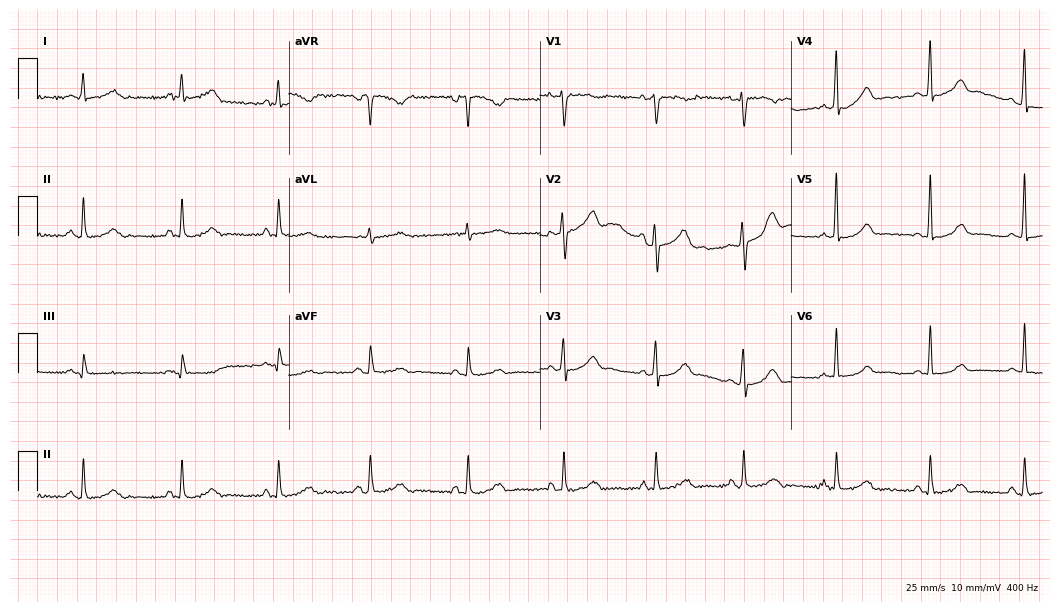
12-lead ECG from a 37-year-old female. Recorded interpretation: within normal limits.